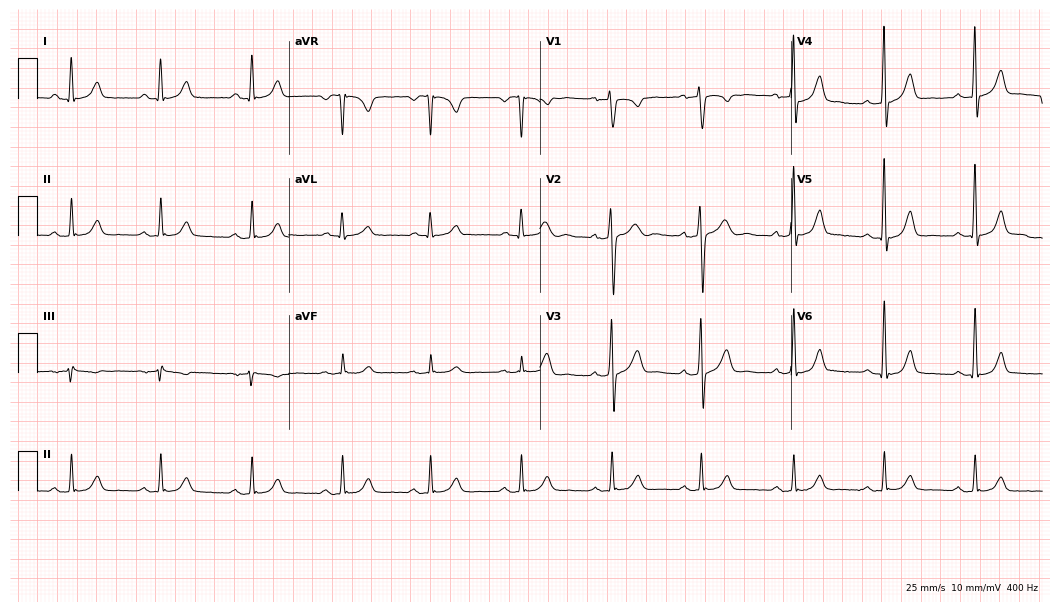
12-lead ECG from a 56-year-old man. Labelled as a normal ECG.